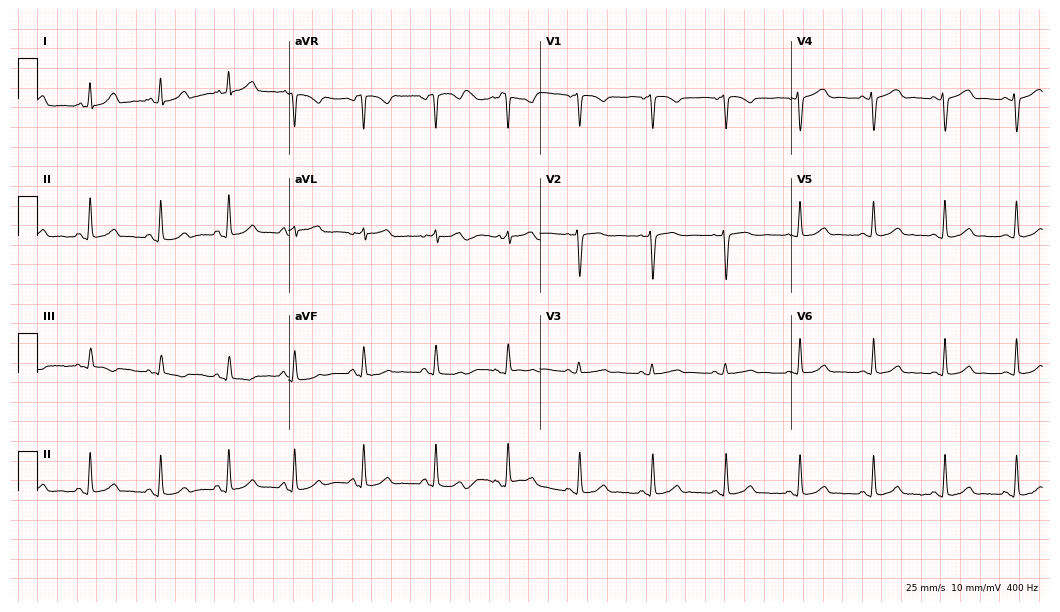
12-lead ECG from a 29-year-old female. Recorded interpretation: within normal limits.